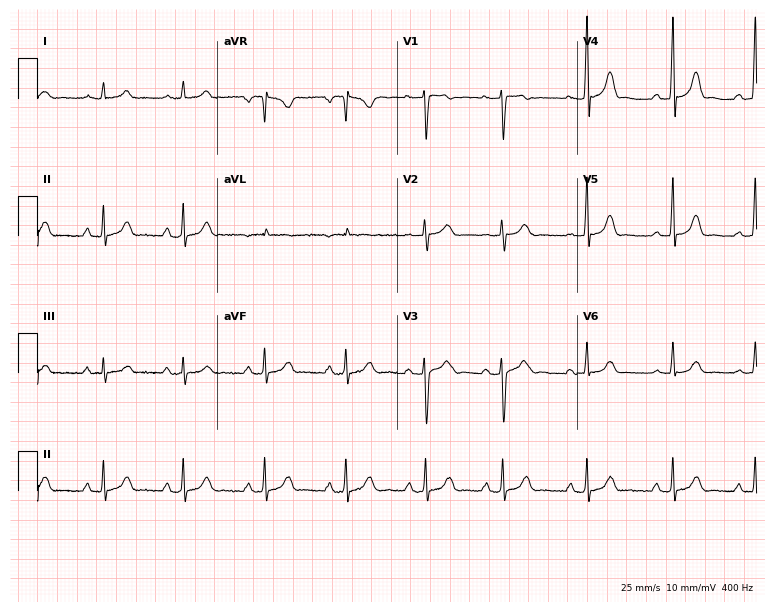
Electrocardiogram (7.3-second recording at 400 Hz), a 40-year-old female. Overall reading on record: normal ECG.